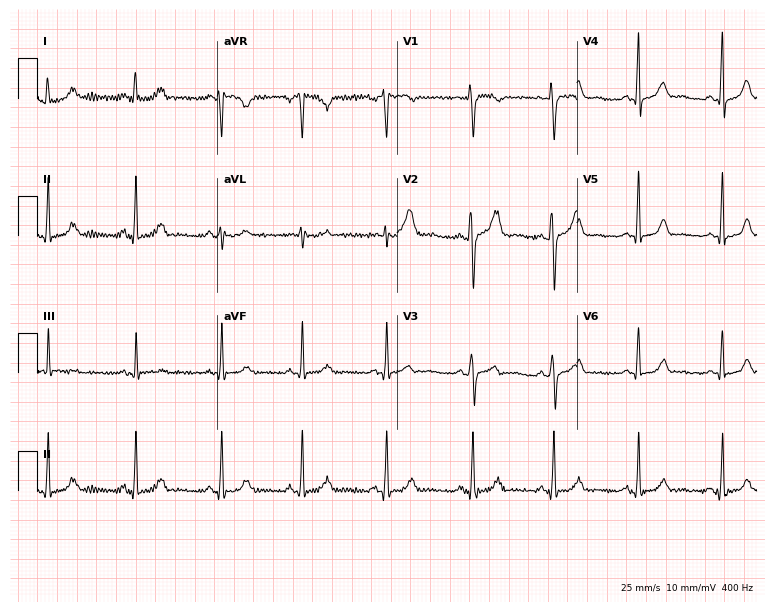
12-lead ECG from a woman, 29 years old (7.3-second recording at 400 Hz). No first-degree AV block, right bundle branch block, left bundle branch block, sinus bradycardia, atrial fibrillation or sinus tachycardia recorded for this tracing.